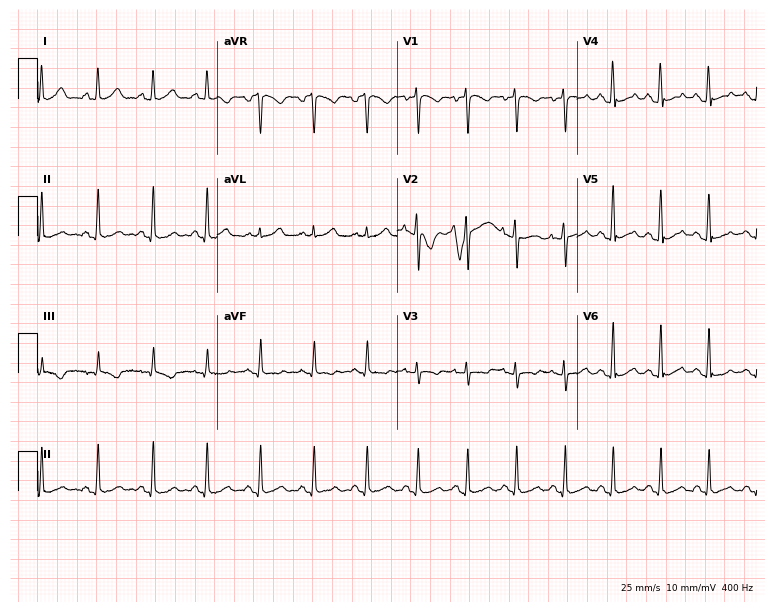
12-lead ECG from a 25-year-old female. Shows sinus tachycardia (a sinus rate of 100 beats per minute or more).